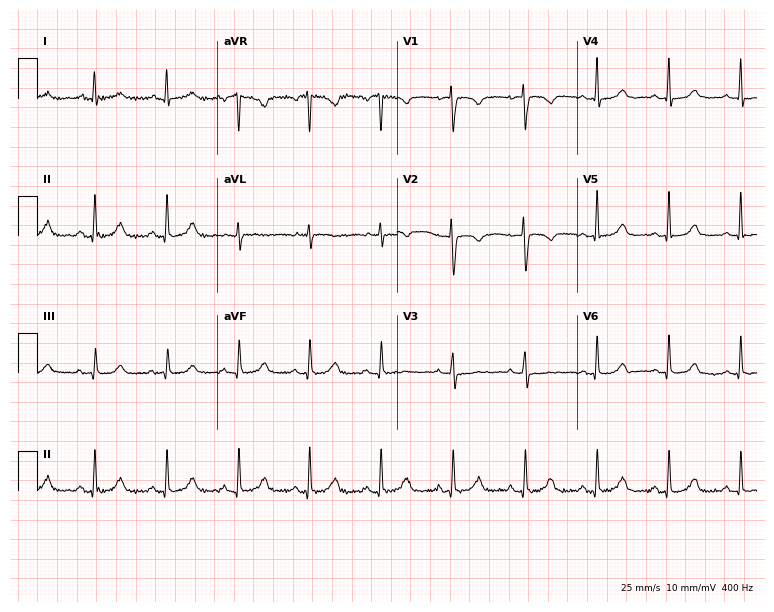
Standard 12-lead ECG recorded from a female patient, 48 years old. Read as a normal ECG.